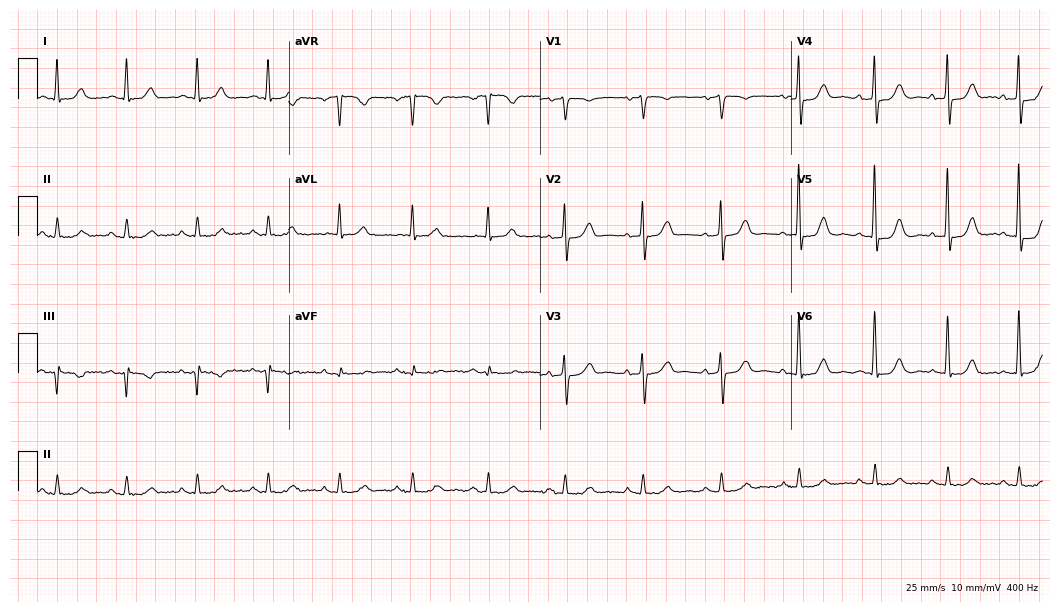
ECG (10.2-second recording at 400 Hz) — a male patient, 75 years old. Labelled as a normal ECG.